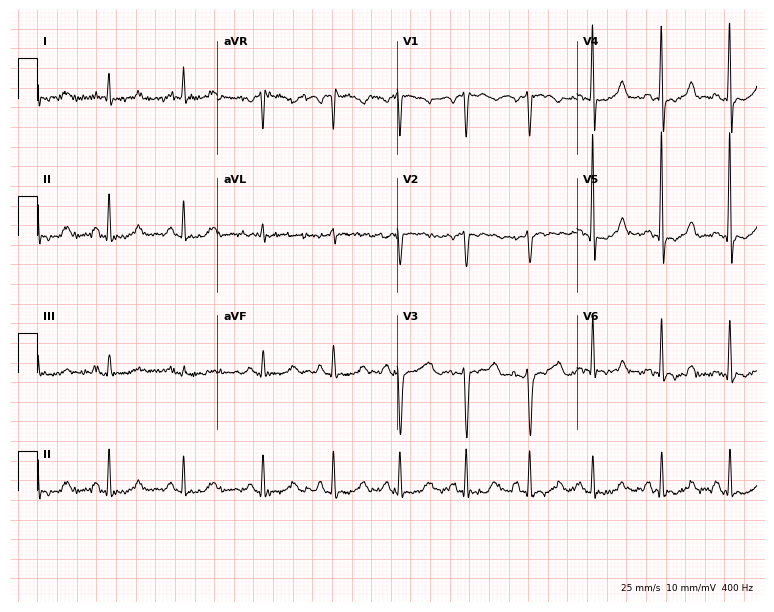
12-lead ECG (7.3-second recording at 400 Hz) from a 54-year-old woman. Screened for six findings — first-degree AV block, right bundle branch block, left bundle branch block, sinus bradycardia, atrial fibrillation, sinus tachycardia — none is recorded.